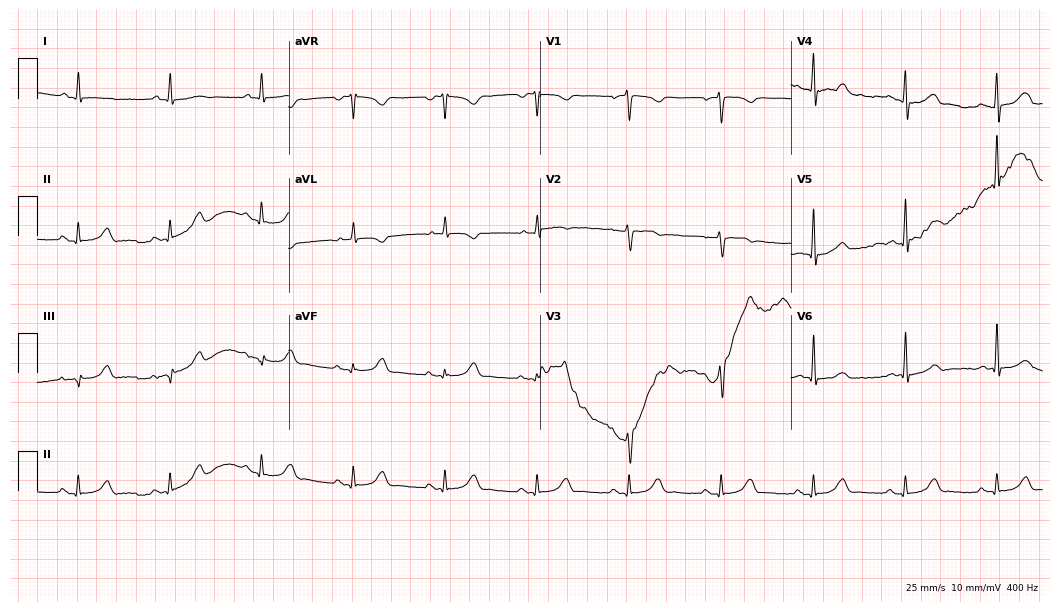
Electrocardiogram, a 69-year-old male patient. Overall reading on record: normal ECG.